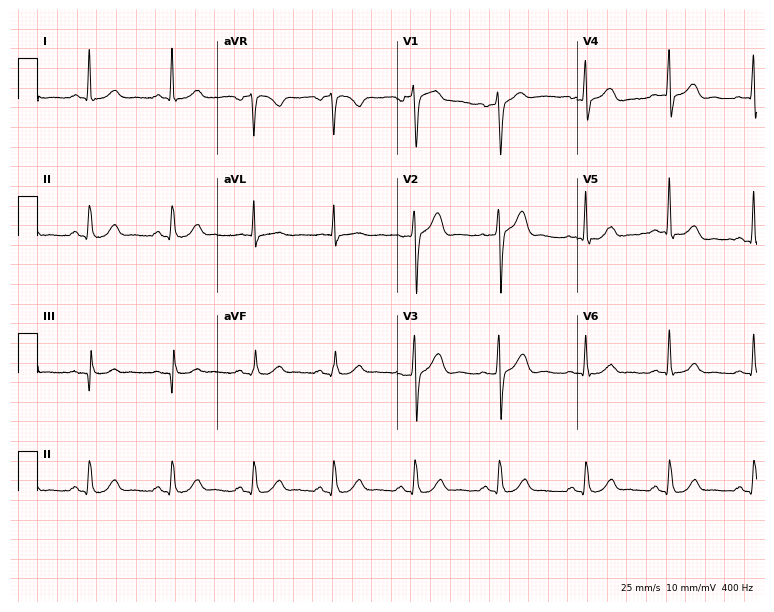
Standard 12-lead ECG recorded from a man, 44 years old. Read as a normal ECG.